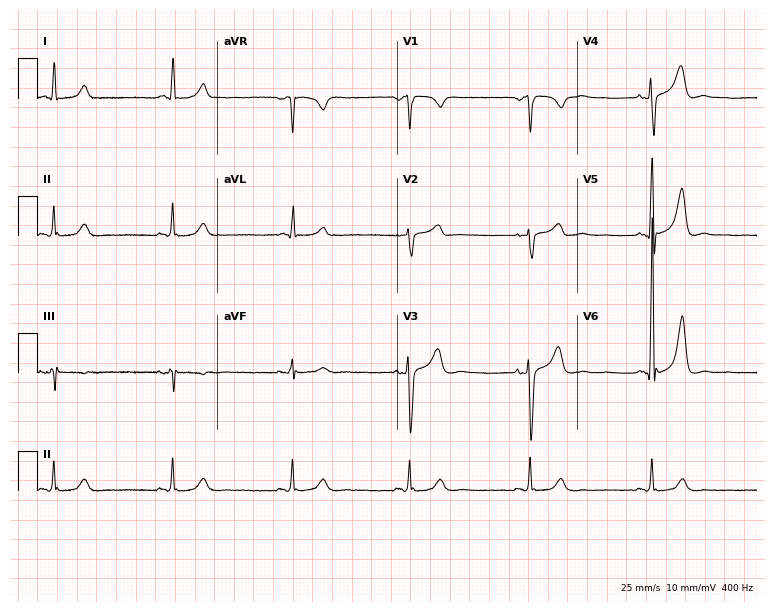
Resting 12-lead electrocardiogram. Patient: a 59-year-old male. The tracing shows sinus bradycardia (a sinus rate of 50 beats per minute or less).